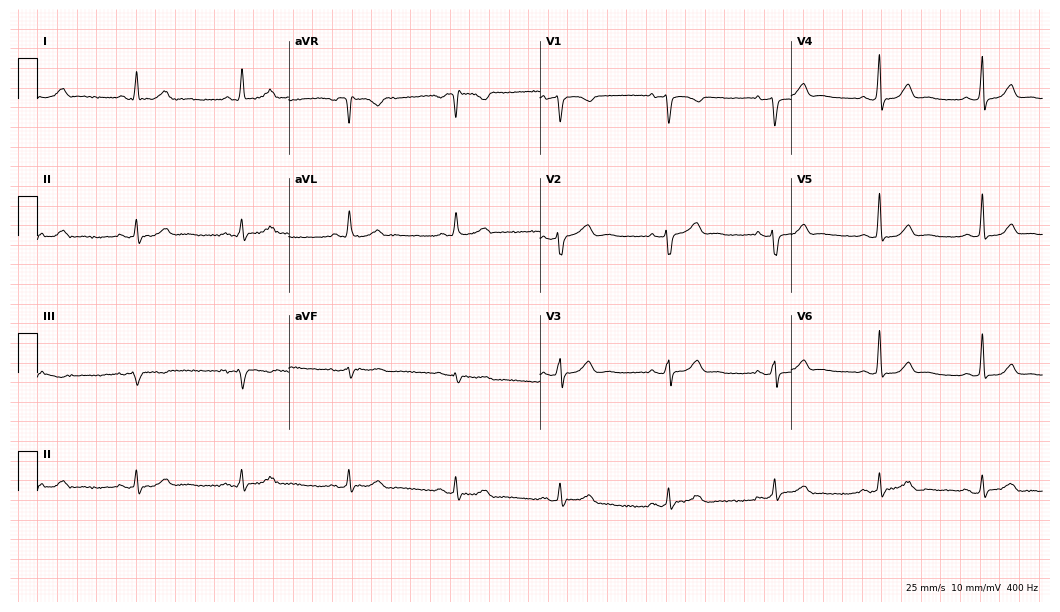
12-lead ECG from a 56-year-old female patient. Labelled as a normal ECG.